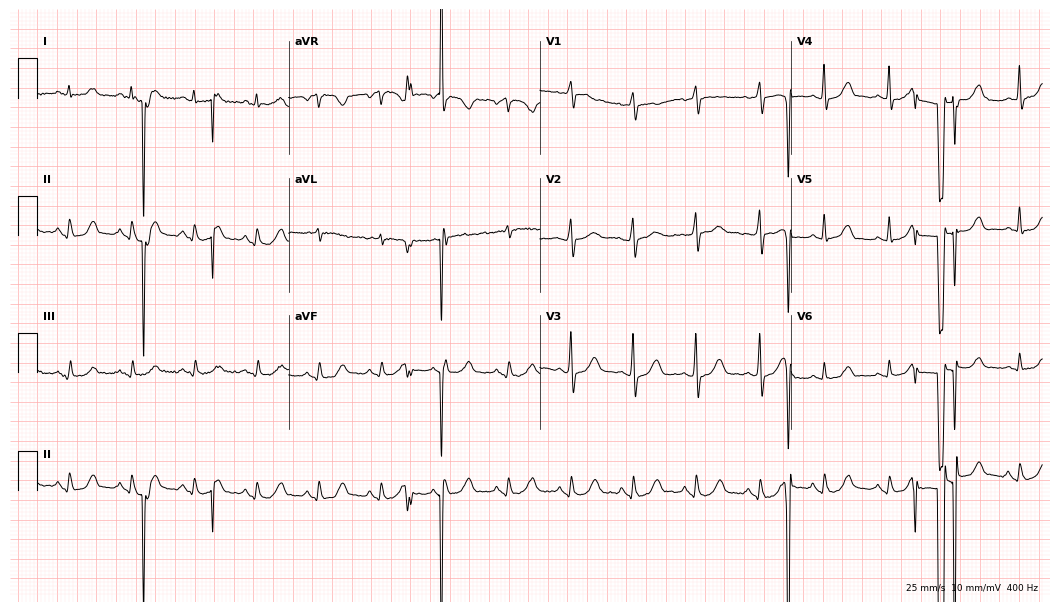
Standard 12-lead ECG recorded from a female, 69 years old (10.2-second recording at 400 Hz). None of these six findings is recorded: first-degree AV block, right bundle branch block, left bundle branch block, sinus bradycardia, atrial fibrillation, sinus tachycardia. Only these six findings were labelled.